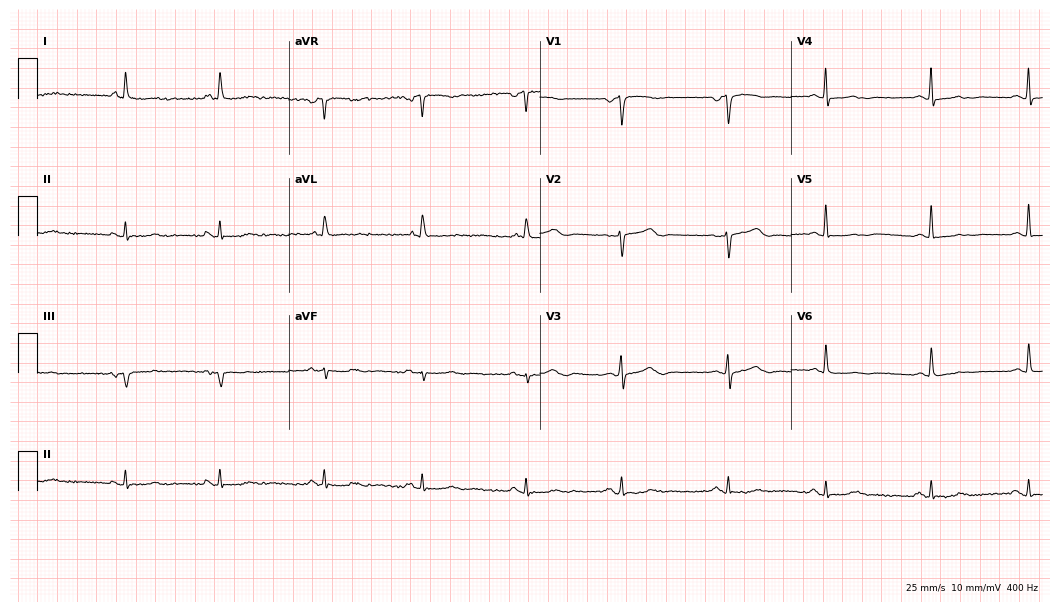
Resting 12-lead electrocardiogram. Patient: a 79-year-old female. Read as a normal ECG.